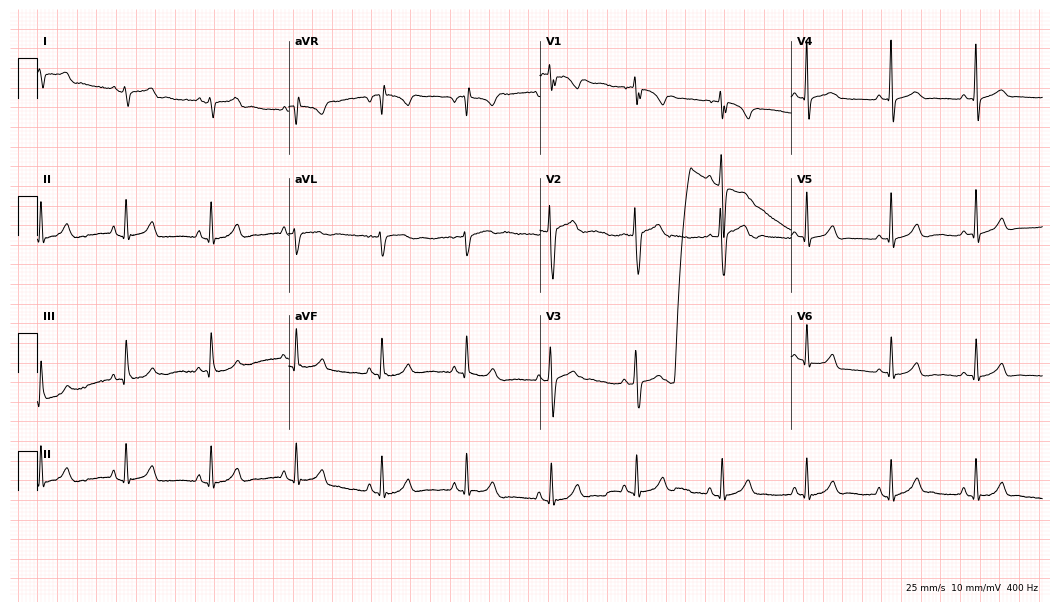
12-lead ECG (10.2-second recording at 400 Hz) from a 17-year-old male patient. Labelled as a normal ECG.